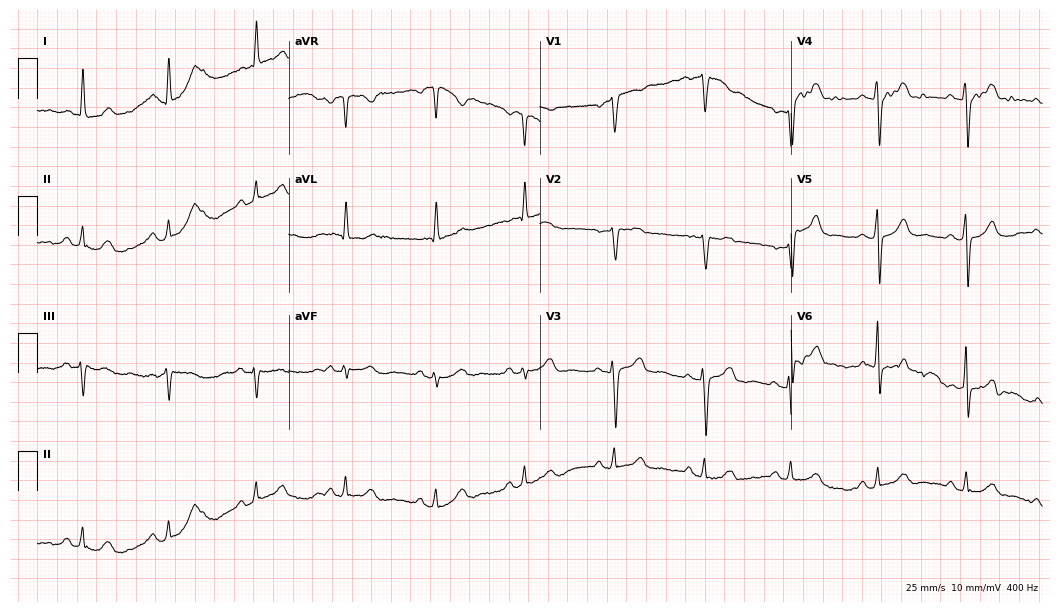
12-lead ECG (10.2-second recording at 400 Hz) from a 52-year-old female. Labelled as a normal ECG.